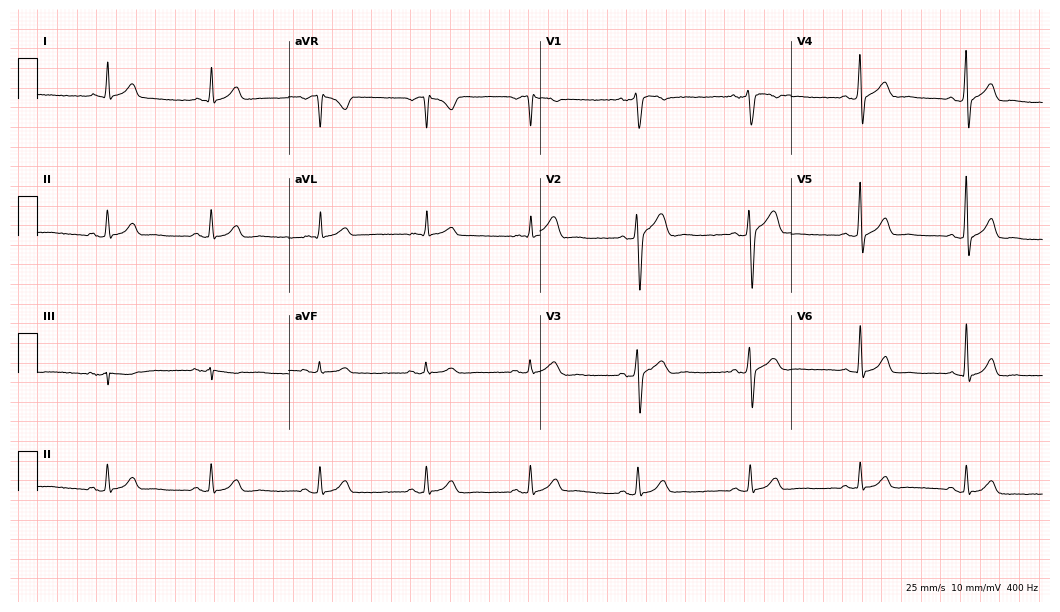
12-lead ECG from a 35-year-old man. Recorded interpretation: within normal limits.